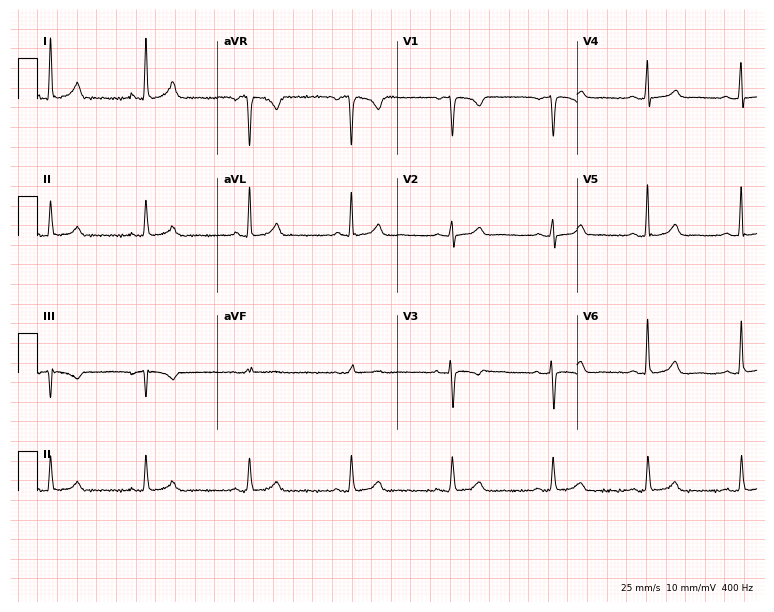
ECG — a woman, 58 years old. Labelled as a normal ECG.